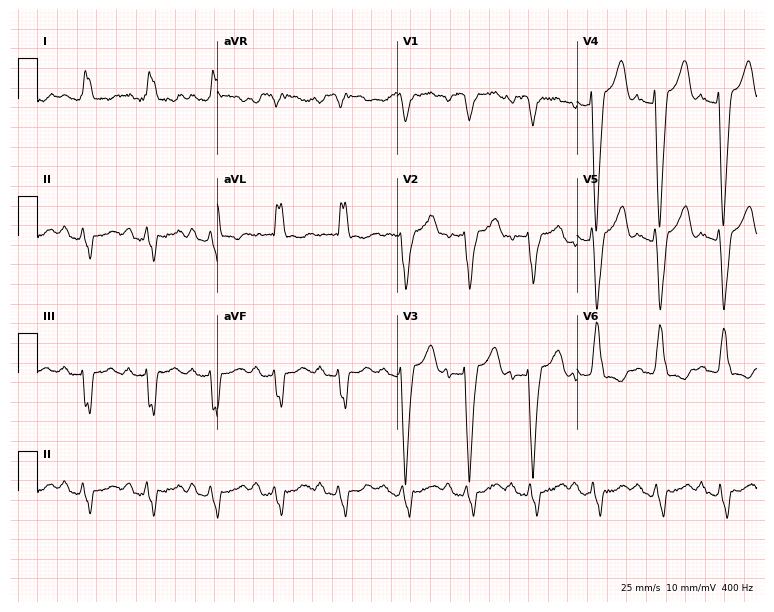
ECG — a female patient, 66 years old. Screened for six findings — first-degree AV block, right bundle branch block, left bundle branch block, sinus bradycardia, atrial fibrillation, sinus tachycardia — none is recorded.